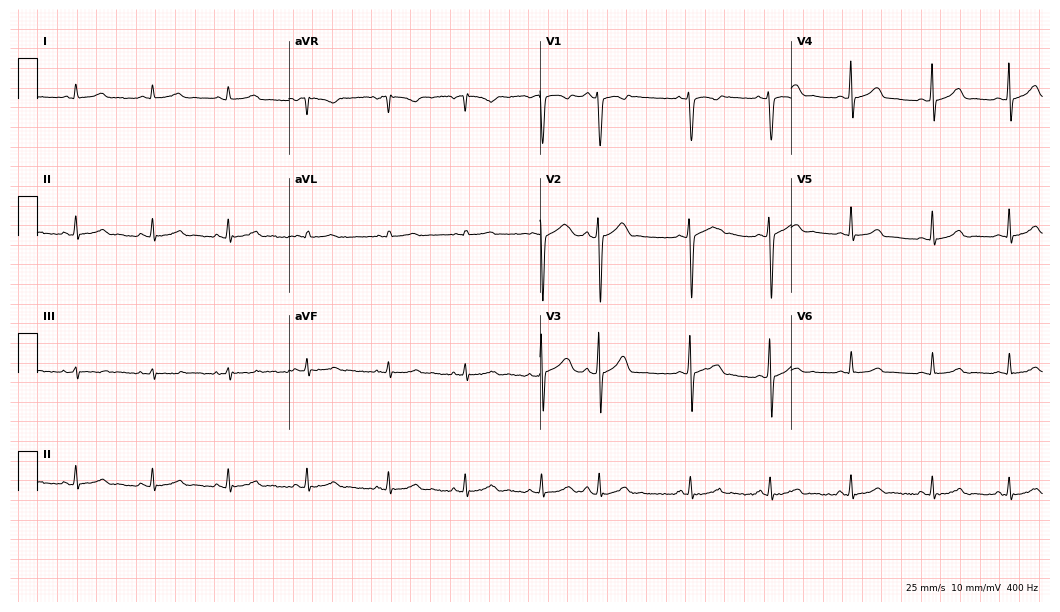
Resting 12-lead electrocardiogram (10.2-second recording at 400 Hz). Patient: a 30-year-old female. Read as a normal ECG.